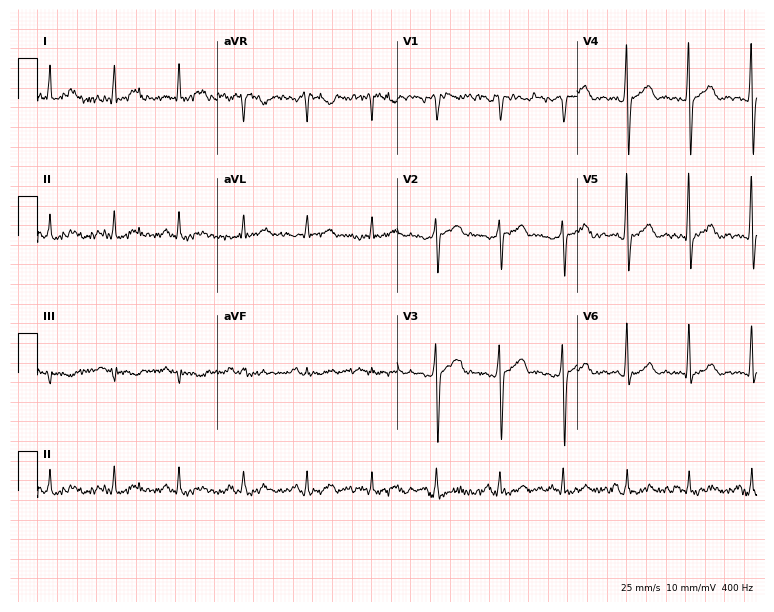
Standard 12-lead ECG recorded from a 44-year-old male (7.3-second recording at 400 Hz). Read as a normal ECG.